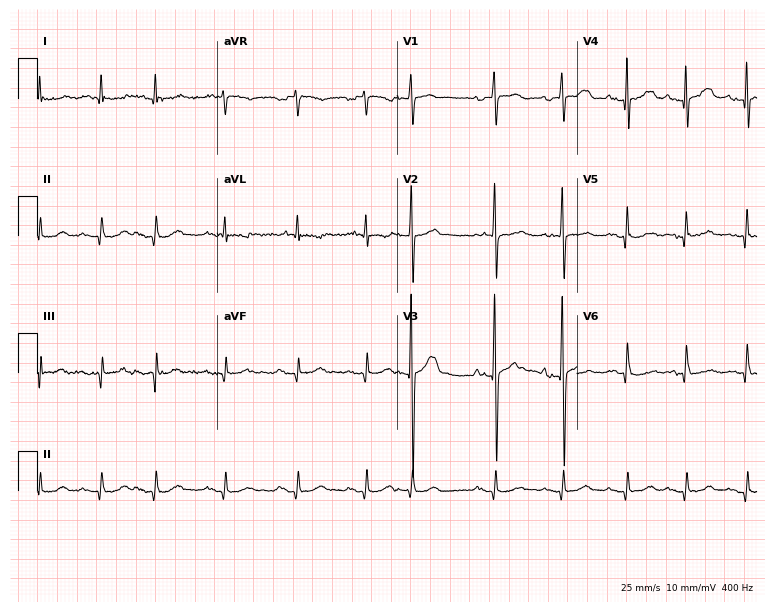
Electrocardiogram, a 77-year-old male patient. Of the six screened findings (first-degree AV block, right bundle branch block (RBBB), left bundle branch block (LBBB), sinus bradycardia, atrial fibrillation (AF), sinus tachycardia), none is recorded.